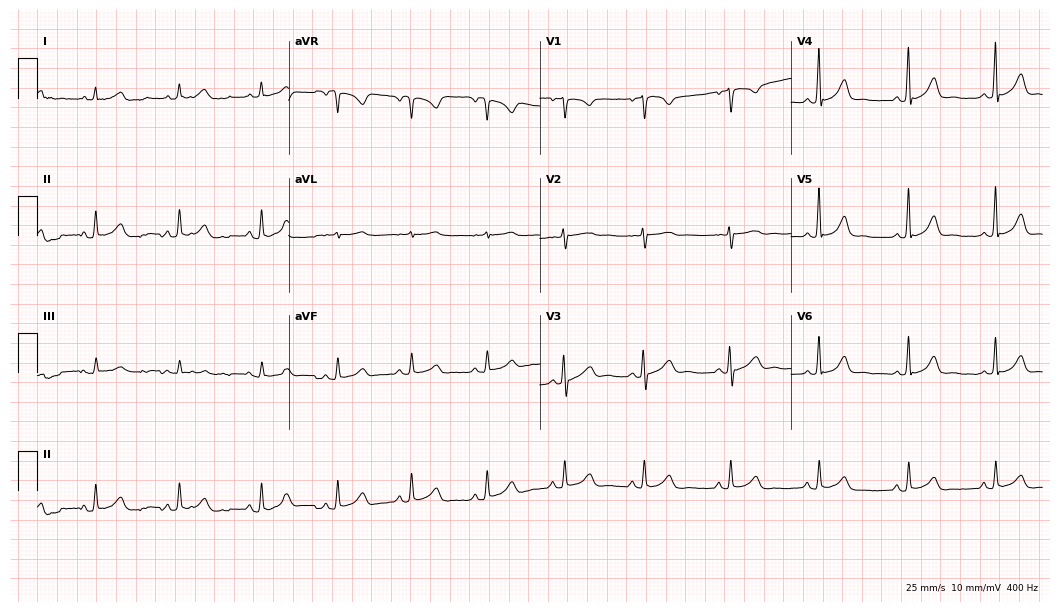
12-lead ECG from a female patient, 43 years old (10.2-second recording at 400 Hz). No first-degree AV block, right bundle branch block, left bundle branch block, sinus bradycardia, atrial fibrillation or sinus tachycardia recorded for this tracing. Findings outside these six are not listed.